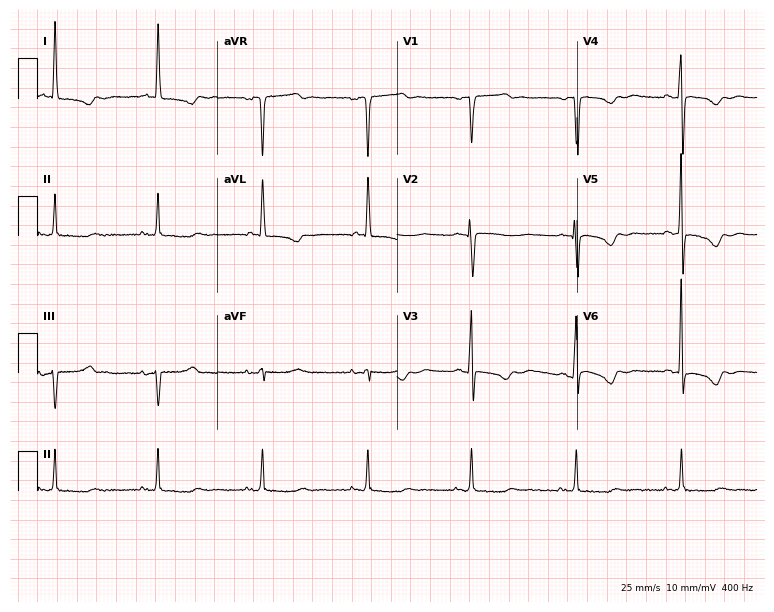
Resting 12-lead electrocardiogram (7.3-second recording at 400 Hz). Patient: a woman, 72 years old. None of these six findings is recorded: first-degree AV block, right bundle branch block, left bundle branch block, sinus bradycardia, atrial fibrillation, sinus tachycardia. Findings outside these six are not listed.